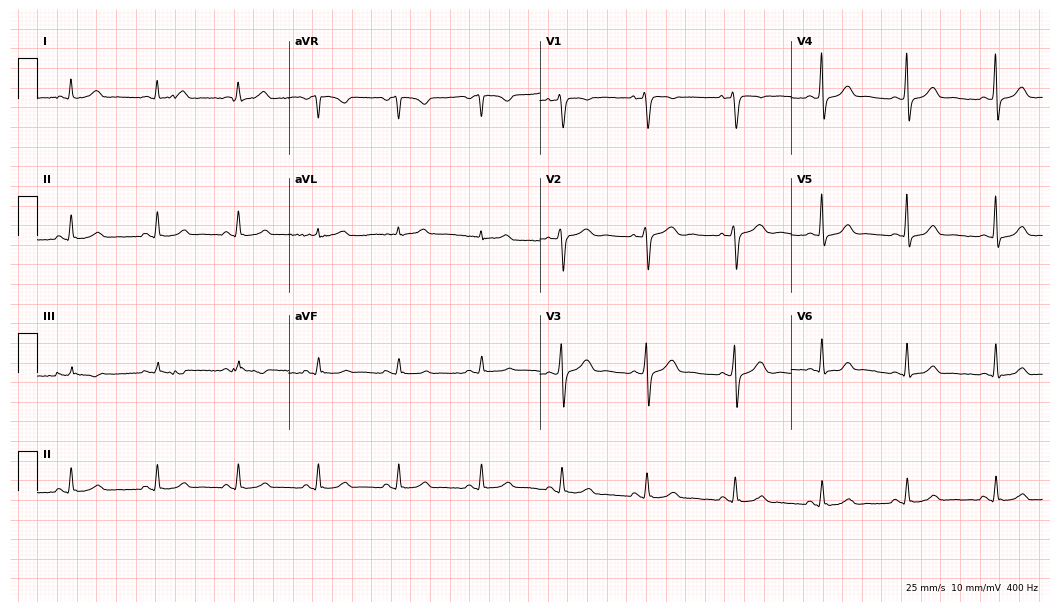
12-lead ECG from a woman, 38 years old (10.2-second recording at 400 Hz). Recorded interpretation: within normal limits.